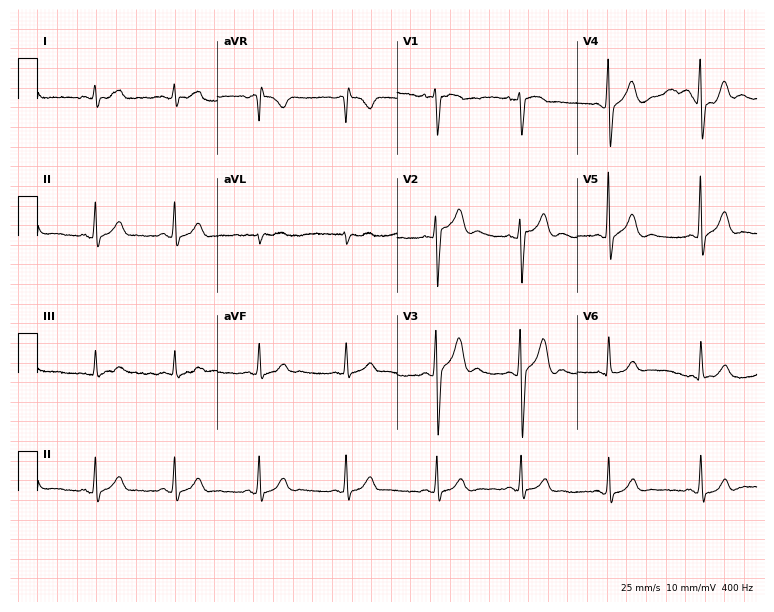
Resting 12-lead electrocardiogram (7.3-second recording at 400 Hz). Patient: a man, 34 years old. None of these six findings is recorded: first-degree AV block, right bundle branch block, left bundle branch block, sinus bradycardia, atrial fibrillation, sinus tachycardia. Findings outside these six are not listed.